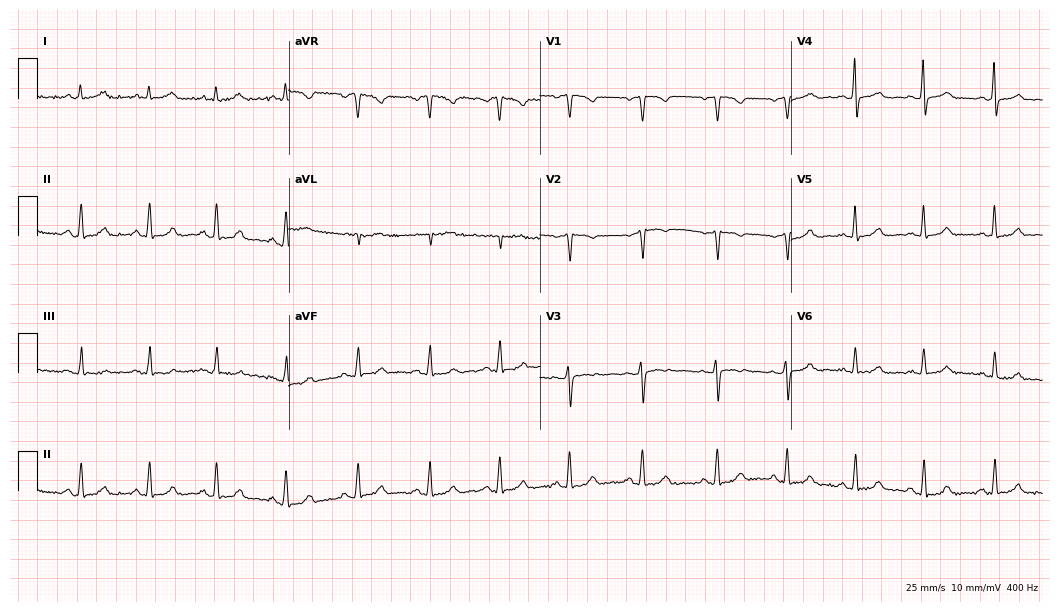
12-lead ECG from a female patient, 54 years old. Recorded interpretation: within normal limits.